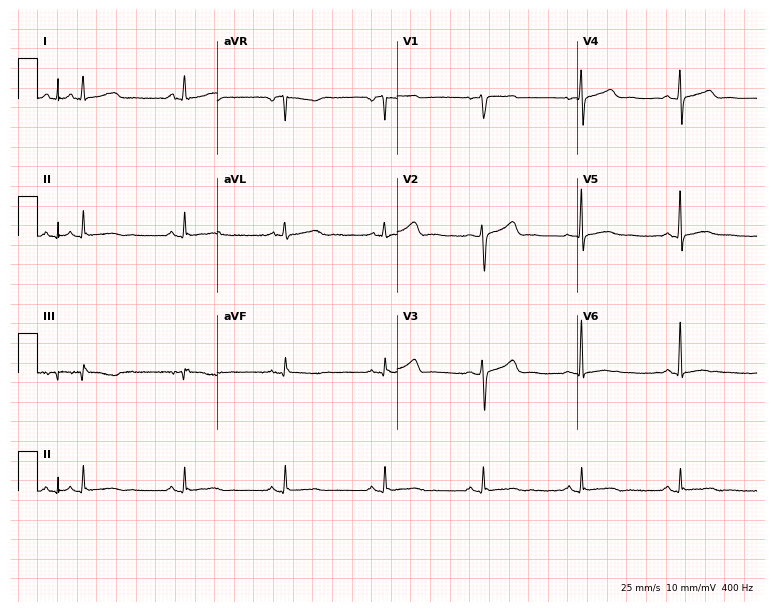
12-lead ECG (7.3-second recording at 400 Hz) from a female, 47 years old. Labelled as a normal ECG.